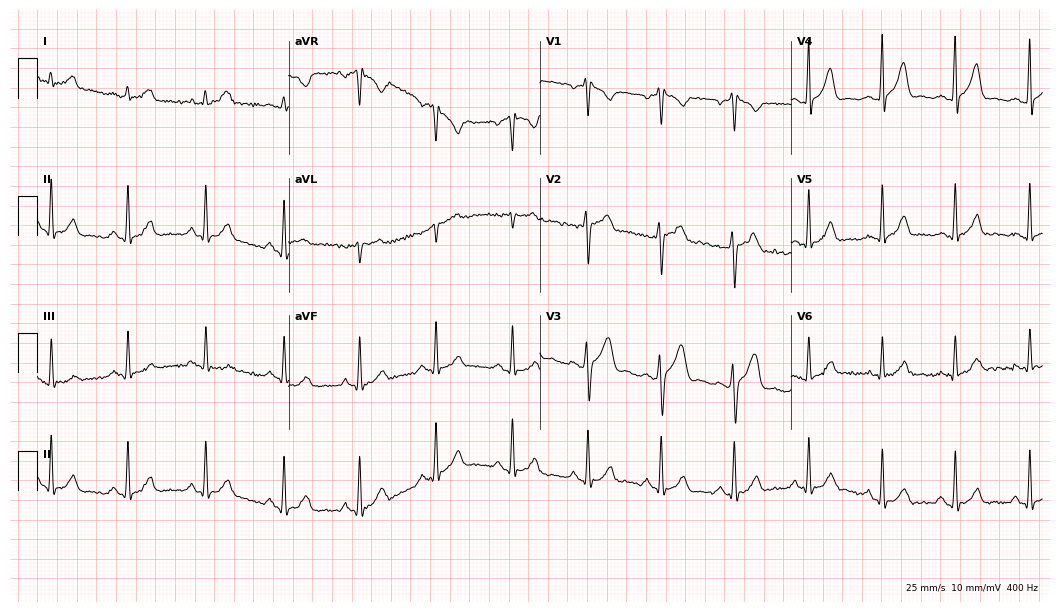
12-lead ECG from a 34-year-old male patient. Screened for six findings — first-degree AV block, right bundle branch block, left bundle branch block, sinus bradycardia, atrial fibrillation, sinus tachycardia — none is recorded. Findings outside these six are not listed.